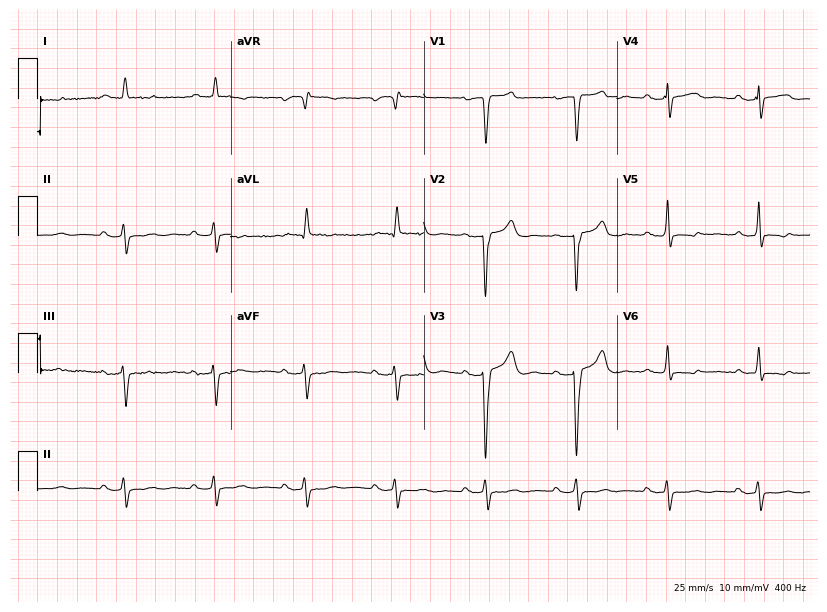
Standard 12-lead ECG recorded from a man, 76 years old (7.9-second recording at 400 Hz). None of these six findings is recorded: first-degree AV block, right bundle branch block, left bundle branch block, sinus bradycardia, atrial fibrillation, sinus tachycardia.